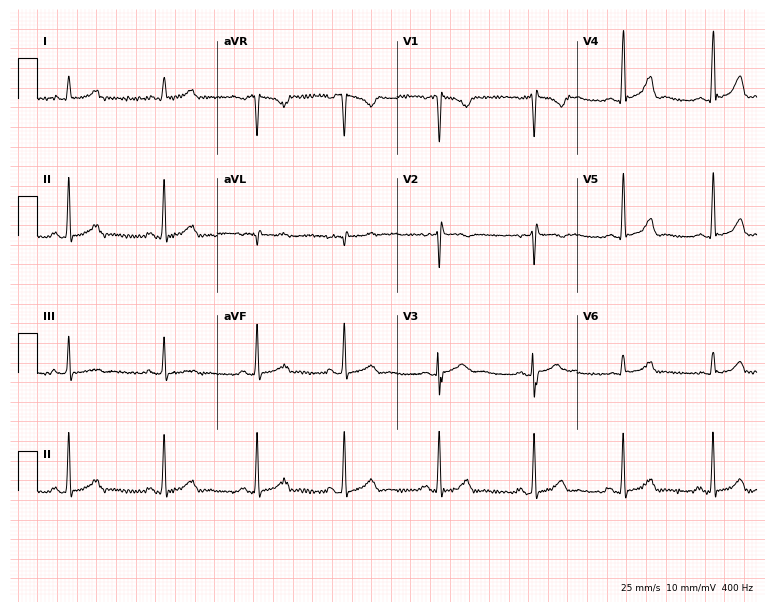
12-lead ECG (7.3-second recording at 400 Hz) from a 30-year-old female. Labelled as a normal ECG.